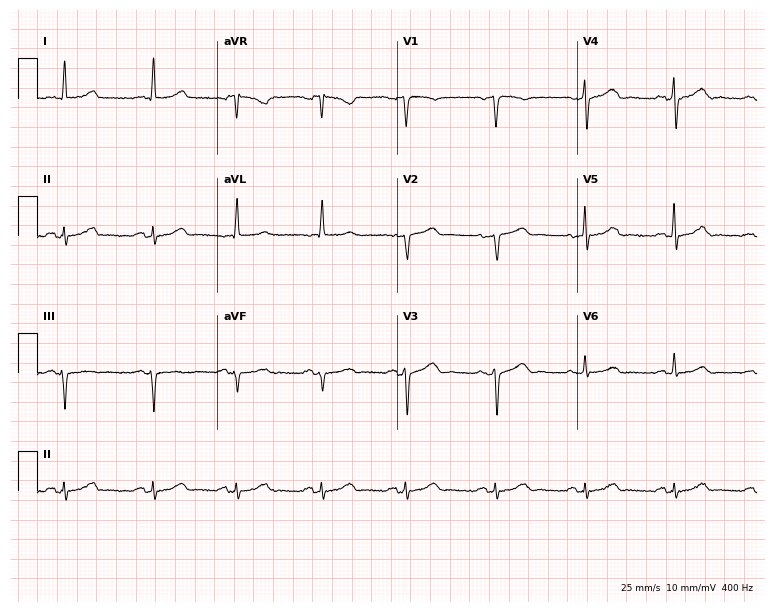
Resting 12-lead electrocardiogram. Patient: a man, 64 years old. None of these six findings is recorded: first-degree AV block, right bundle branch block, left bundle branch block, sinus bradycardia, atrial fibrillation, sinus tachycardia. Findings outside these six are not listed.